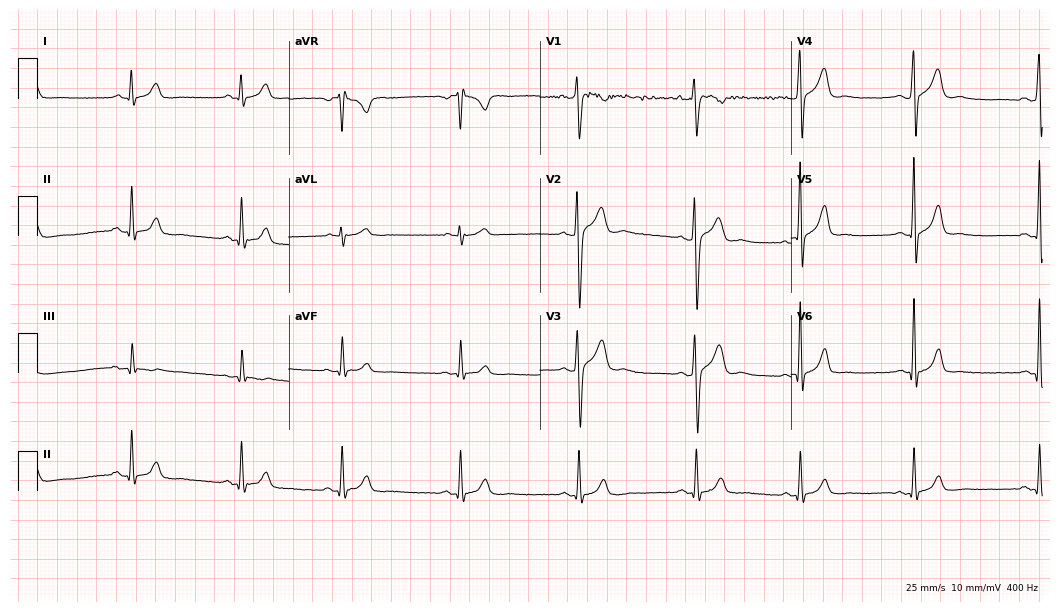
Electrocardiogram (10.2-second recording at 400 Hz), a male, 21 years old. Of the six screened findings (first-degree AV block, right bundle branch block, left bundle branch block, sinus bradycardia, atrial fibrillation, sinus tachycardia), none is recorded. Findings outside these six are not listed.